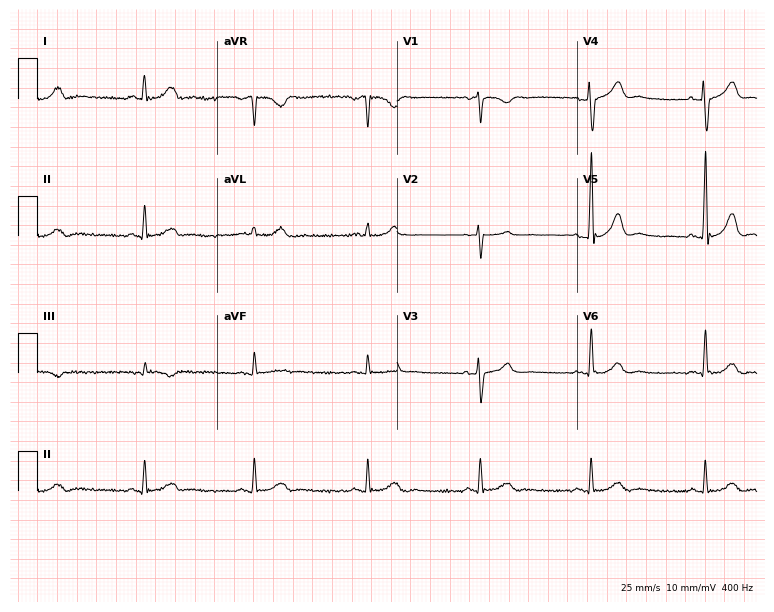
12-lead ECG from a male, 57 years old (7.3-second recording at 400 Hz). No first-degree AV block, right bundle branch block (RBBB), left bundle branch block (LBBB), sinus bradycardia, atrial fibrillation (AF) or sinus tachycardia recorded for this tracing. Findings outside these six are not listed.